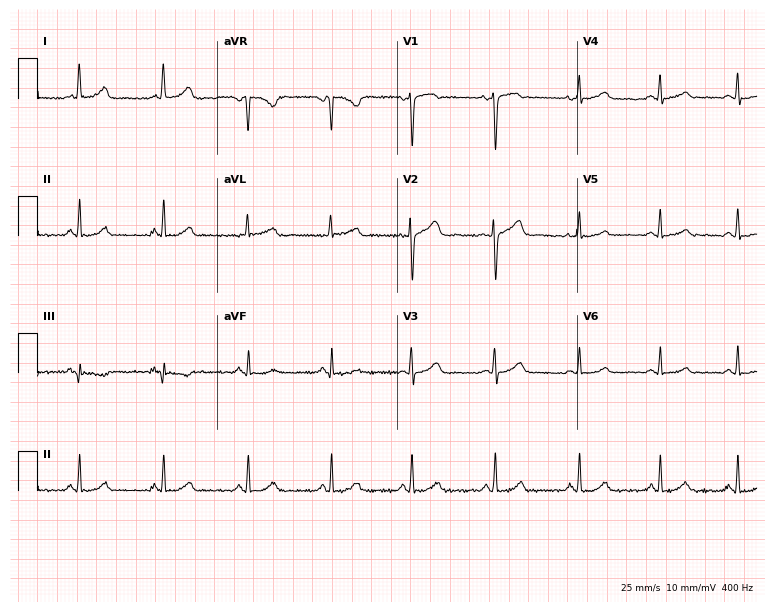
Electrocardiogram (7.3-second recording at 400 Hz), a female patient, 43 years old. Overall reading on record: normal ECG.